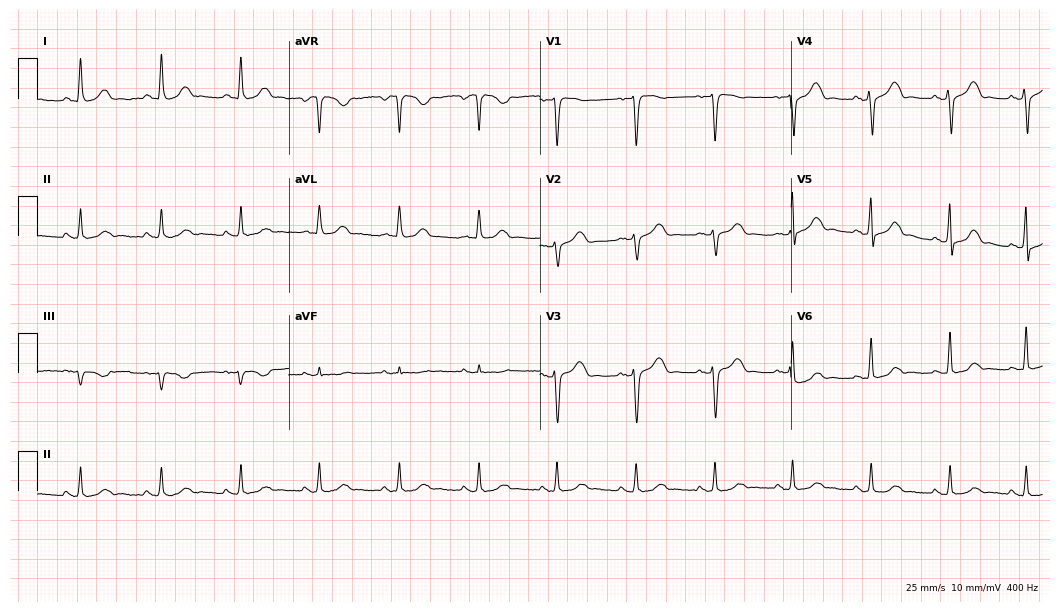
12-lead ECG from a 42-year-old woman. Labelled as a normal ECG.